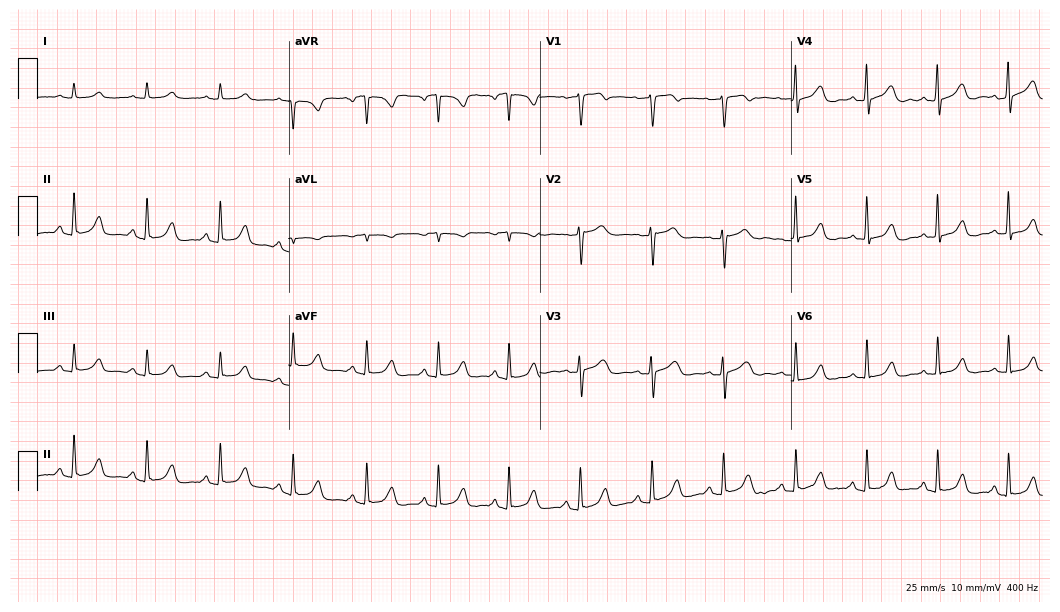
12-lead ECG from a 68-year-old female (10.2-second recording at 400 Hz). Recorded interpretation: within normal limits.